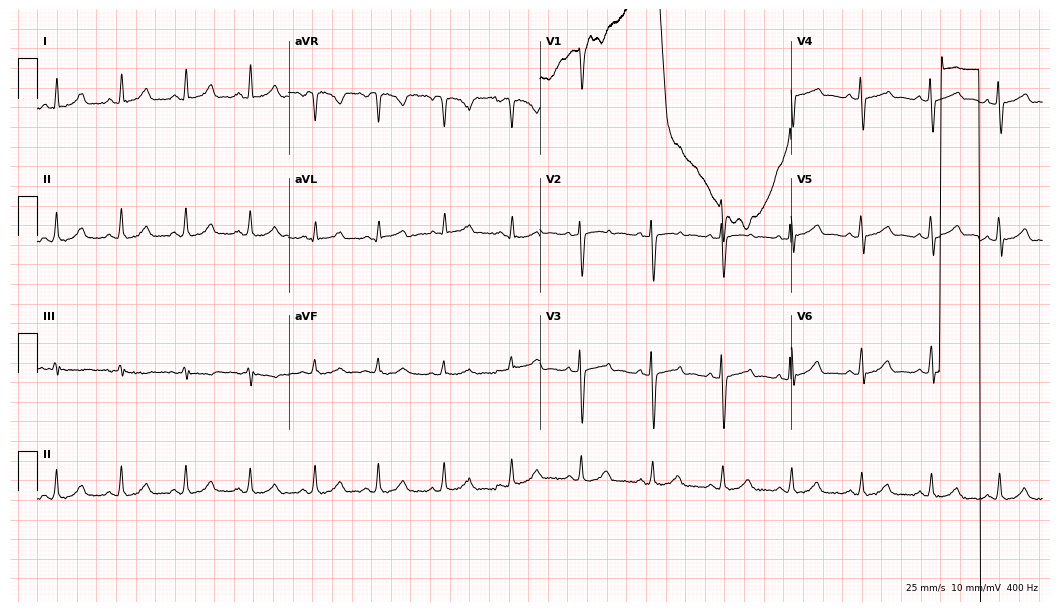
ECG — a woman, 39 years old. Screened for six findings — first-degree AV block, right bundle branch block (RBBB), left bundle branch block (LBBB), sinus bradycardia, atrial fibrillation (AF), sinus tachycardia — none is recorded.